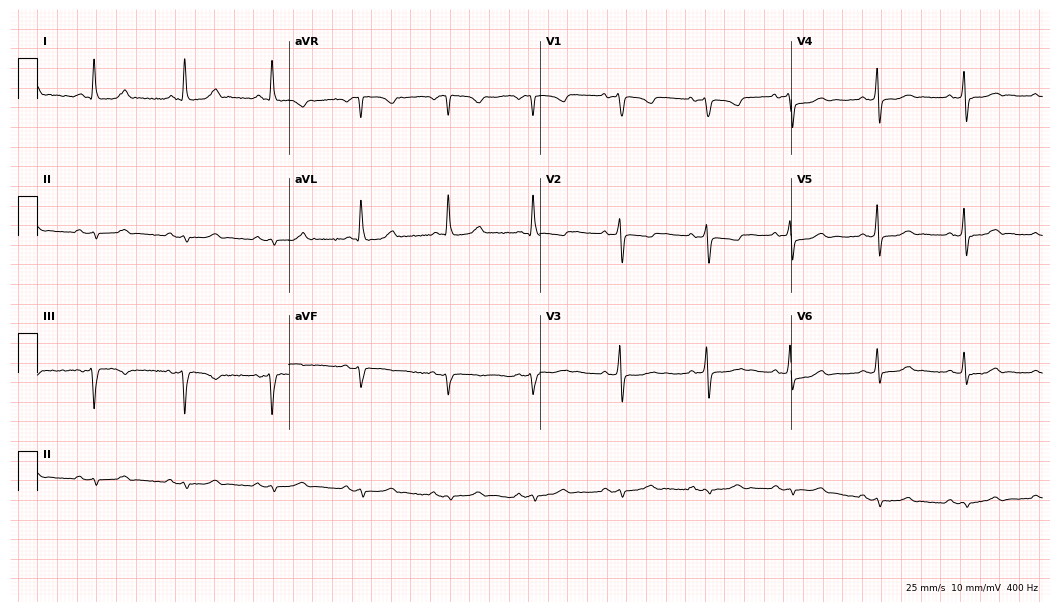
12-lead ECG from a 53-year-old female patient (10.2-second recording at 400 Hz). Recorded interpretation: within normal limits.